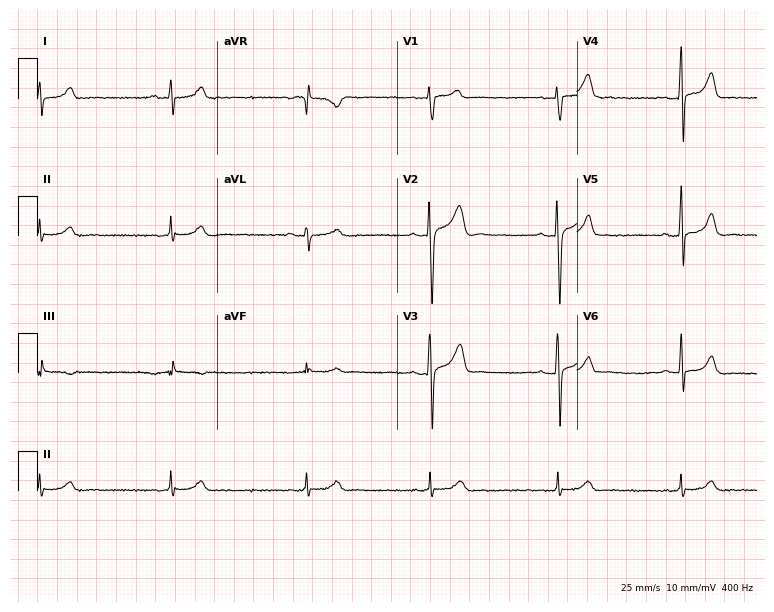
Resting 12-lead electrocardiogram. Patient: a 31-year-old man. The tracing shows sinus bradycardia (a sinus rate of 50 beats per minute or less).